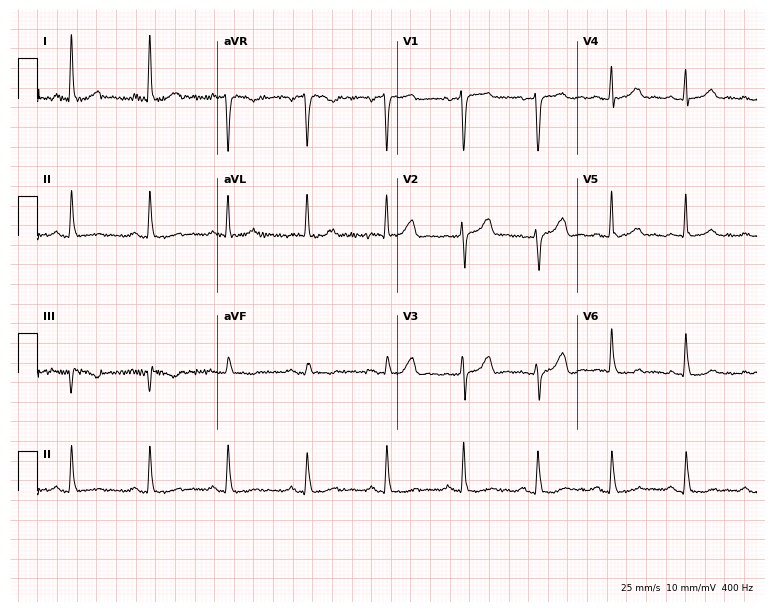
Electrocardiogram (7.3-second recording at 400 Hz), a 51-year-old woman. Overall reading on record: normal ECG.